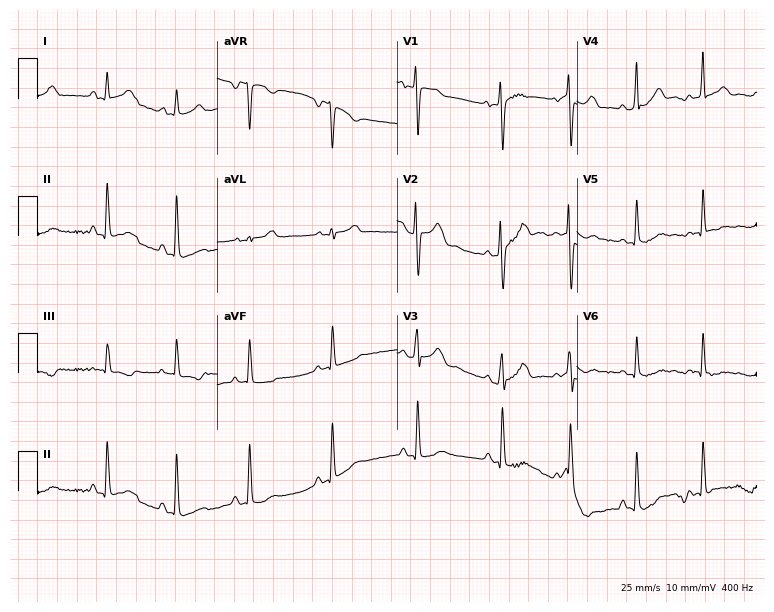
12-lead ECG from a male patient, 24 years old. No first-degree AV block, right bundle branch block, left bundle branch block, sinus bradycardia, atrial fibrillation or sinus tachycardia recorded for this tracing.